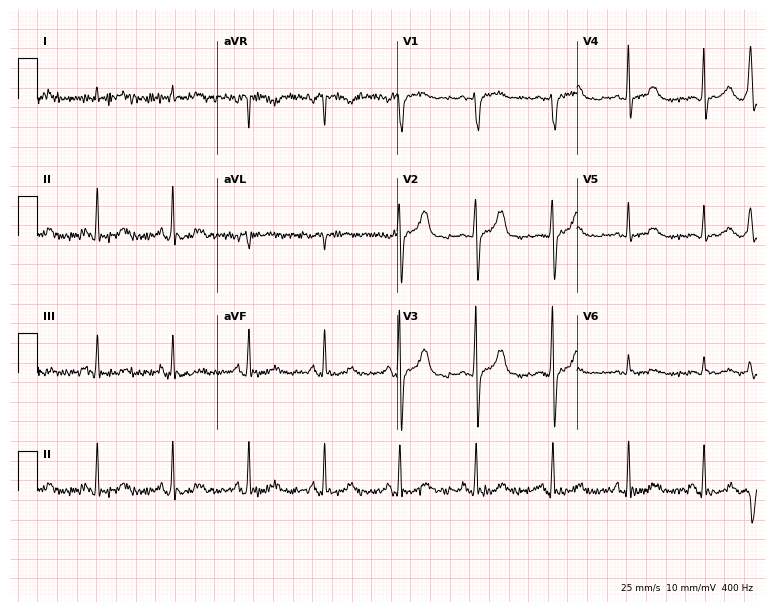
Resting 12-lead electrocardiogram (7.3-second recording at 400 Hz). Patient: a female, 74 years old. None of these six findings is recorded: first-degree AV block, right bundle branch block, left bundle branch block, sinus bradycardia, atrial fibrillation, sinus tachycardia. Other findings, if any, are not listed.